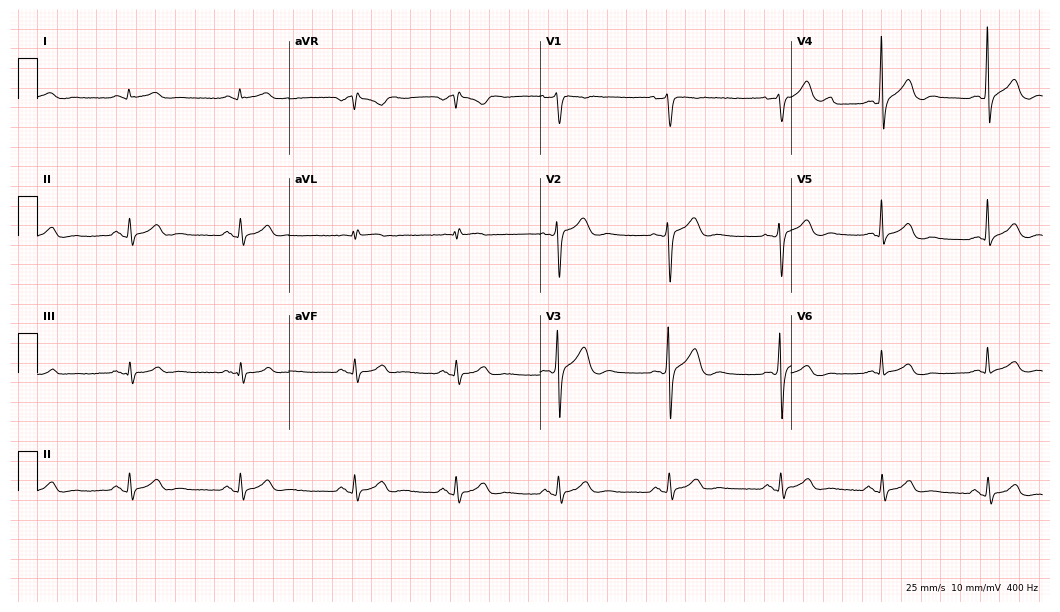
12-lead ECG from a man, 49 years old. Labelled as a normal ECG.